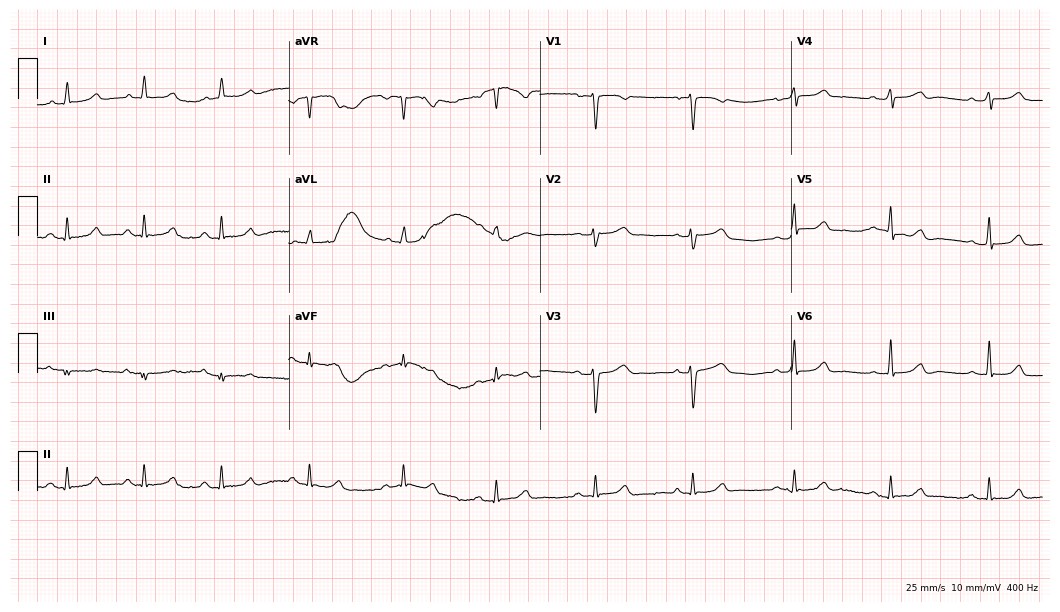
ECG (10.2-second recording at 400 Hz) — a woman, 37 years old. Labelled as a normal ECG.